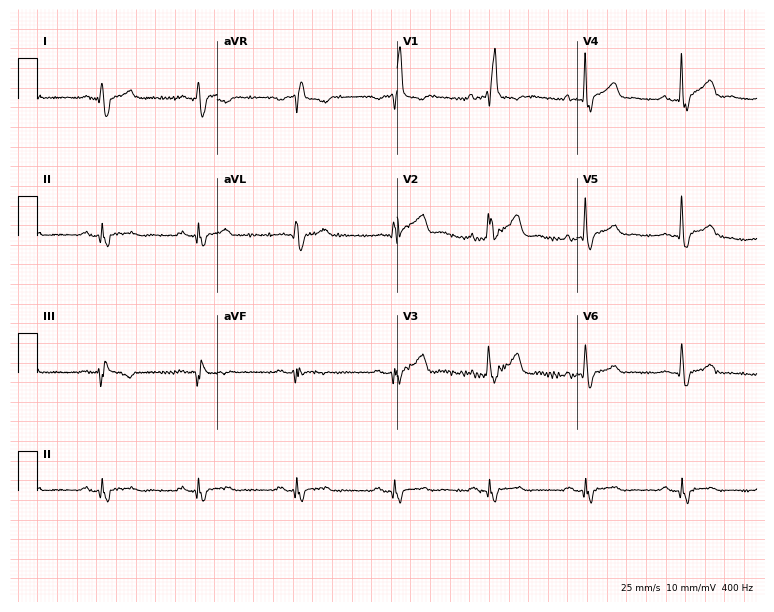
Electrocardiogram (7.3-second recording at 400 Hz), a male, 41 years old. Interpretation includes right bundle branch block.